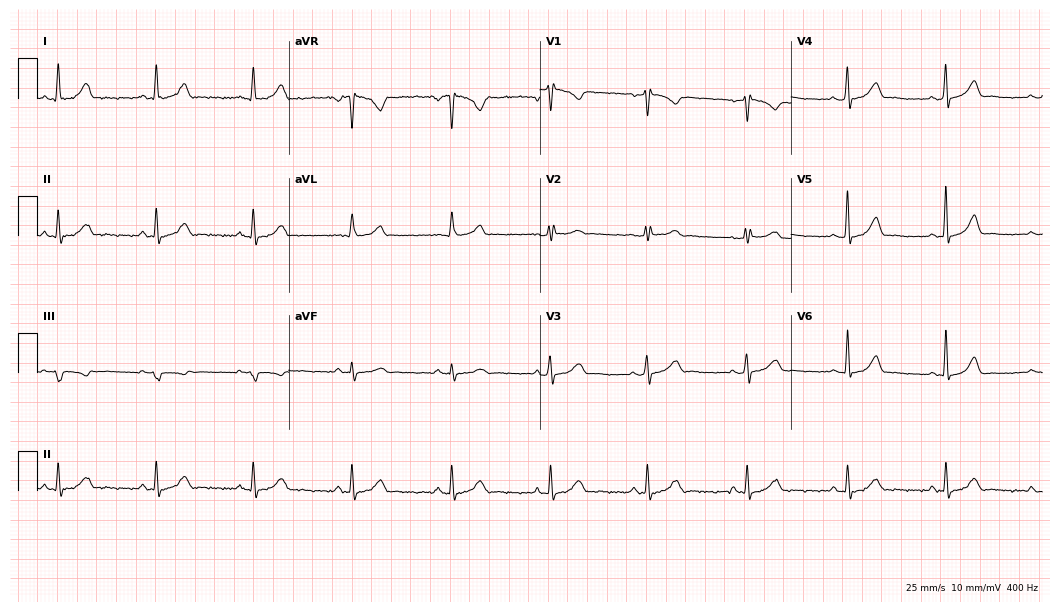
Standard 12-lead ECG recorded from a woman, 44 years old. Read as a normal ECG.